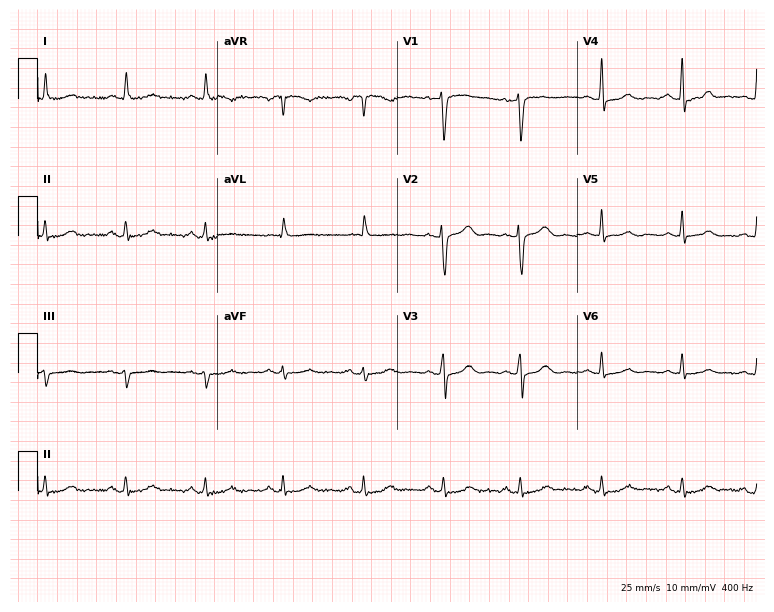
12-lead ECG from a 60-year-old female patient (7.3-second recording at 400 Hz). Recorded interpretation: within normal limits.